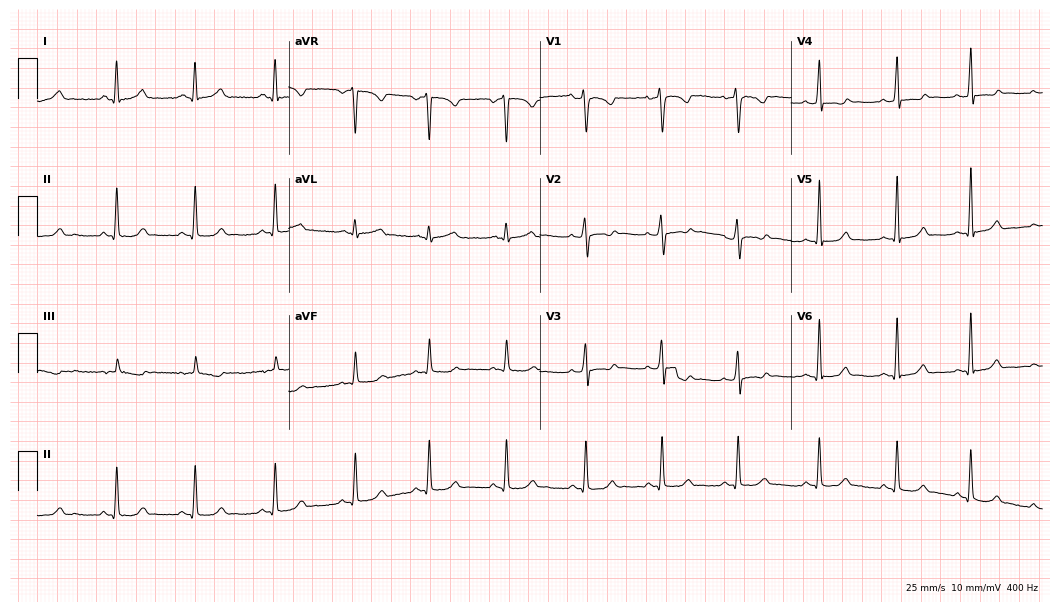
12-lead ECG from a female patient, 32 years old (10.2-second recording at 400 Hz). Recorded interpretation: within normal limits.